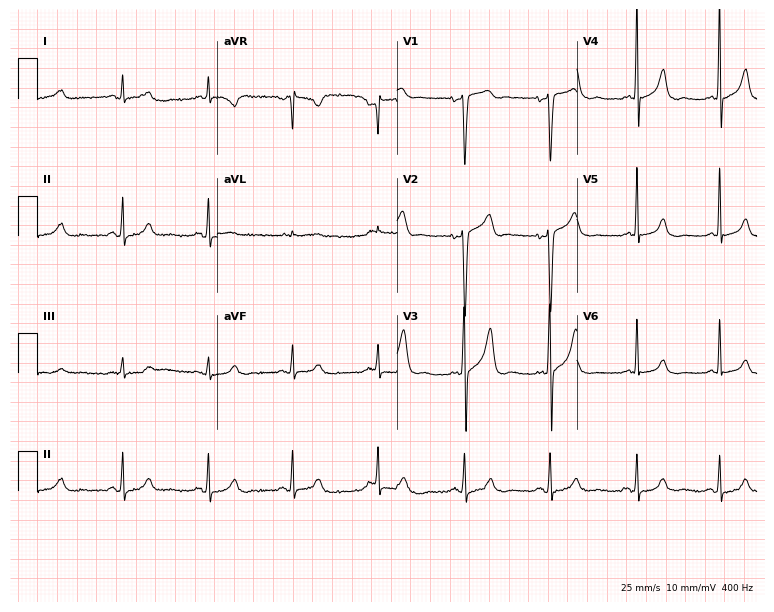
12-lead ECG from a male patient, 53 years old (7.3-second recording at 400 Hz). Recorded interpretation: within normal limits.